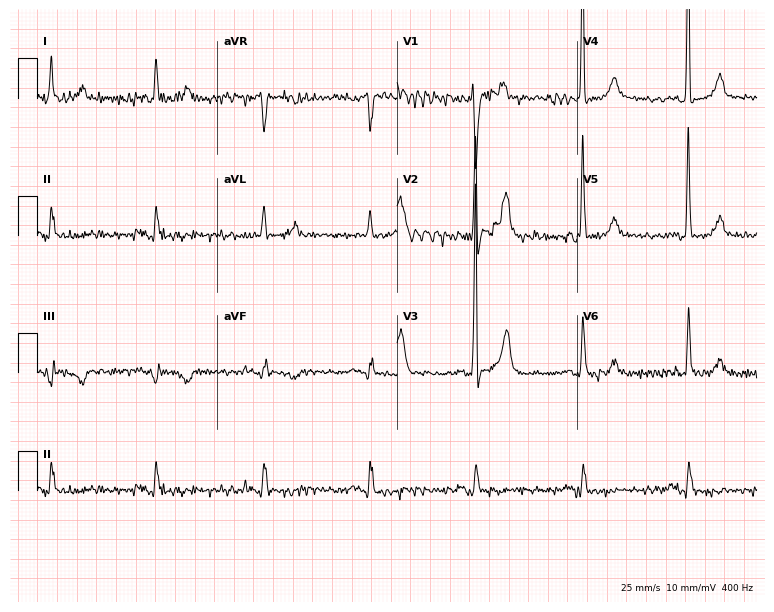
Electrocardiogram (7.3-second recording at 400 Hz), a male patient, 70 years old. Of the six screened findings (first-degree AV block, right bundle branch block, left bundle branch block, sinus bradycardia, atrial fibrillation, sinus tachycardia), none is recorded.